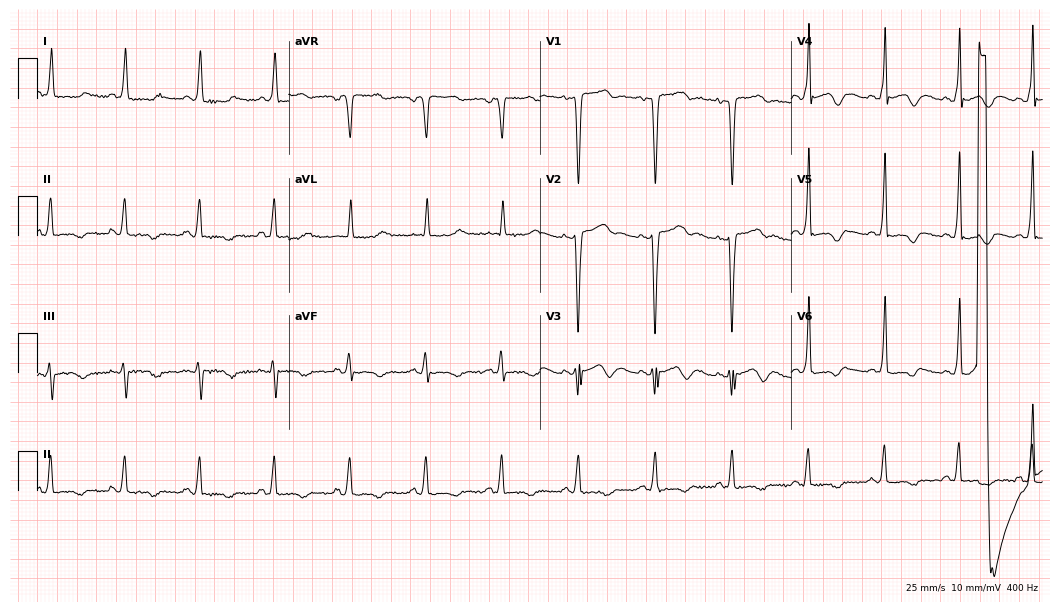
12-lead ECG from a 54-year-old female patient. No first-degree AV block, right bundle branch block, left bundle branch block, sinus bradycardia, atrial fibrillation or sinus tachycardia recorded for this tracing. Other findings, if any, are not listed.